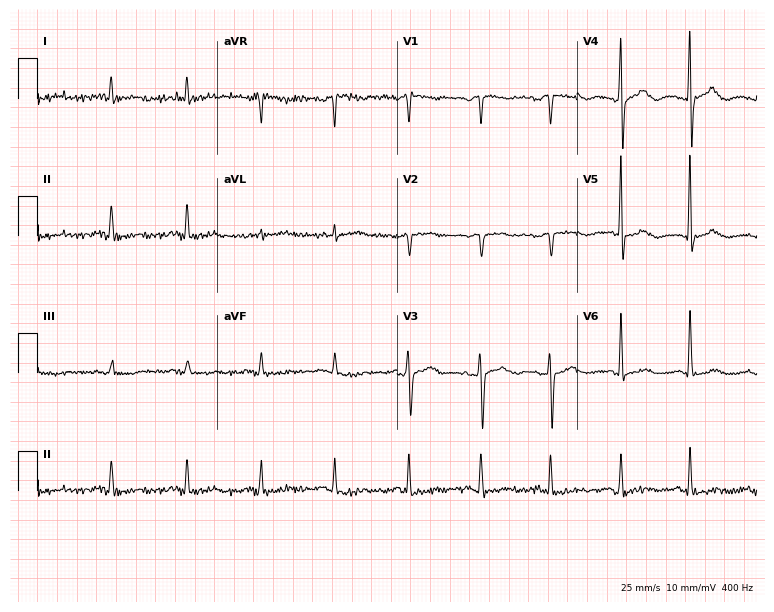
Resting 12-lead electrocardiogram. Patient: an 85-year-old female. None of these six findings is recorded: first-degree AV block, right bundle branch block (RBBB), left bundle branch block (LBBB), sinus bradycardia, atrial fibrillation (AF), sinus tachycardia. Only these six findings were labelled.